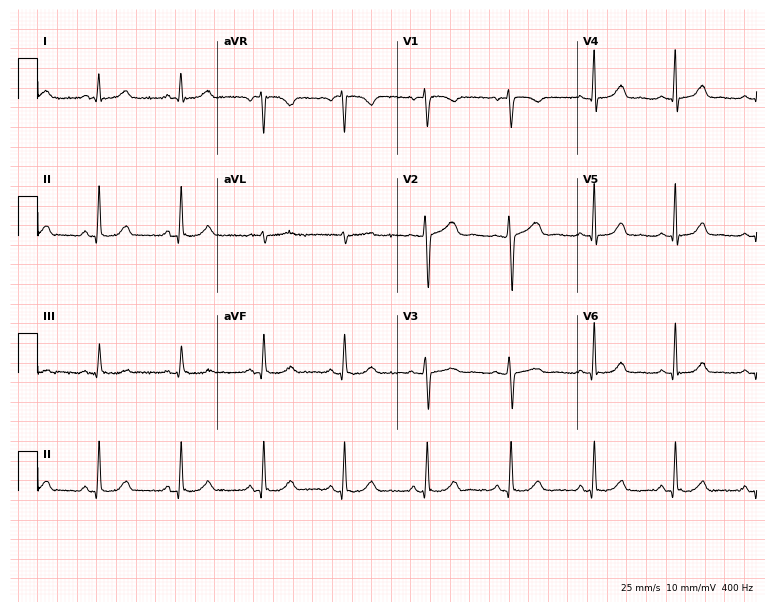
12-lead ECG from a 32-year-old woman. Recorded interpretation: within normal limits.